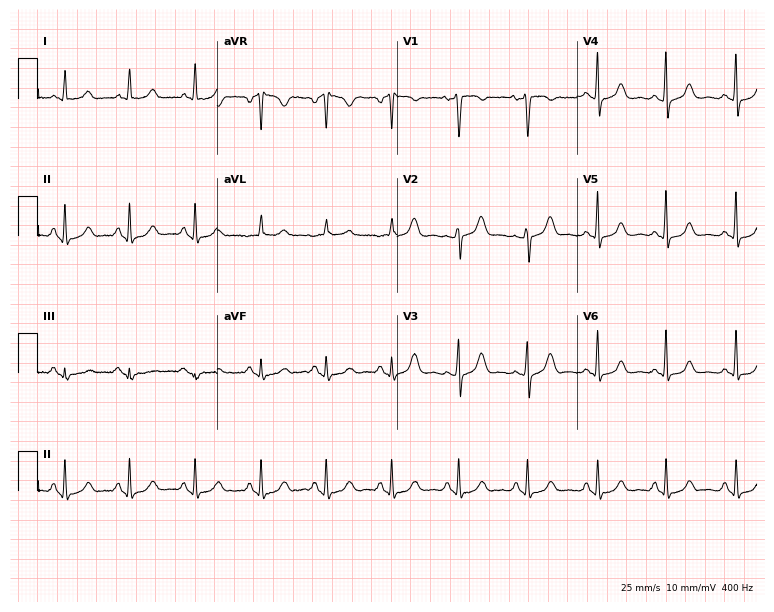
Standard 12-lead ECG recorded from a female, 44 years old. None of these six findings is recorded: first-degree AV block, right bundle branch block, left bundle branch block, sinus bradycardia, atrial fibrillation, sinus tachycardia.